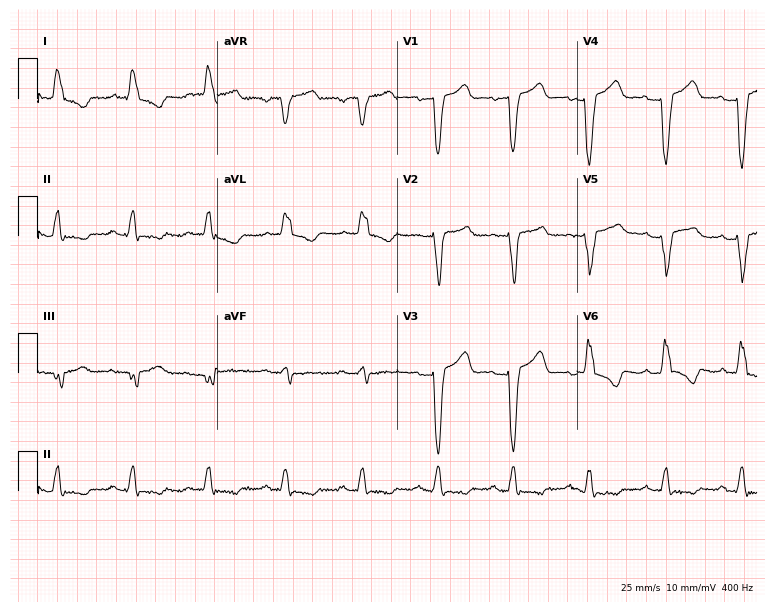
Standard 12-lead ECG recorded from a woman, 85 years old (7.3-second recording at 400 Hz). None of these six findings is recorded: first-degree AV block, right bundle branch block (RBBB), left bundle branch block (LBBB), sinus bradycardia, atrial fibrillation (AF), sinus tachycardia. Findings outside these six are not listed.